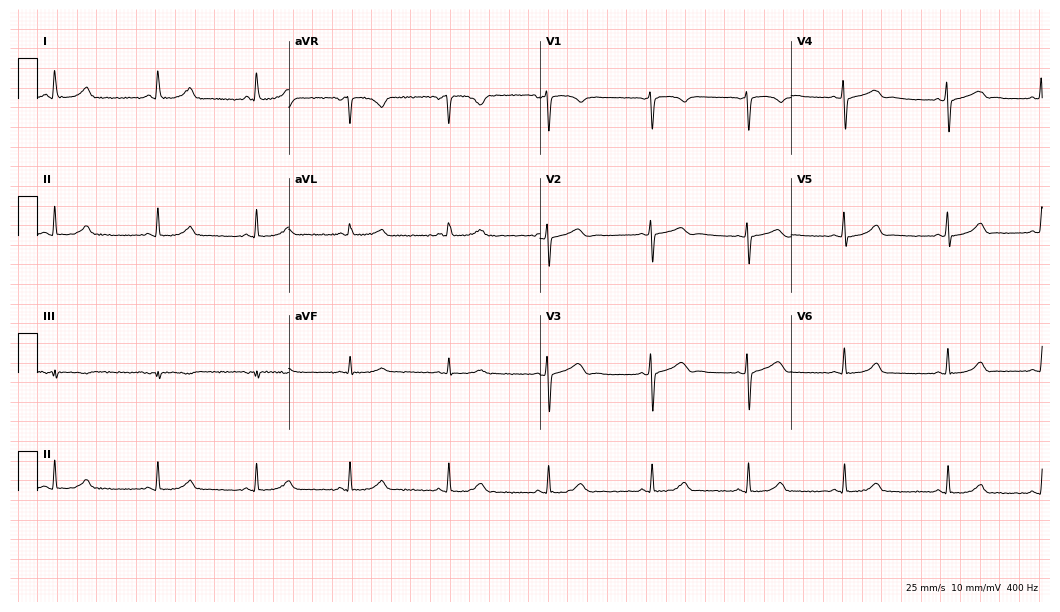
Electrocardiogram (10.2-second recording at 400 Hz), a 37-year-old female patient. Of the six screened findings (first-degree AV block, right bundle branch block, left bundle branch block, sinus bradycardia, atrial fibrillation, sinus tachycardia), none is recorded. Only these six findings were labelled.